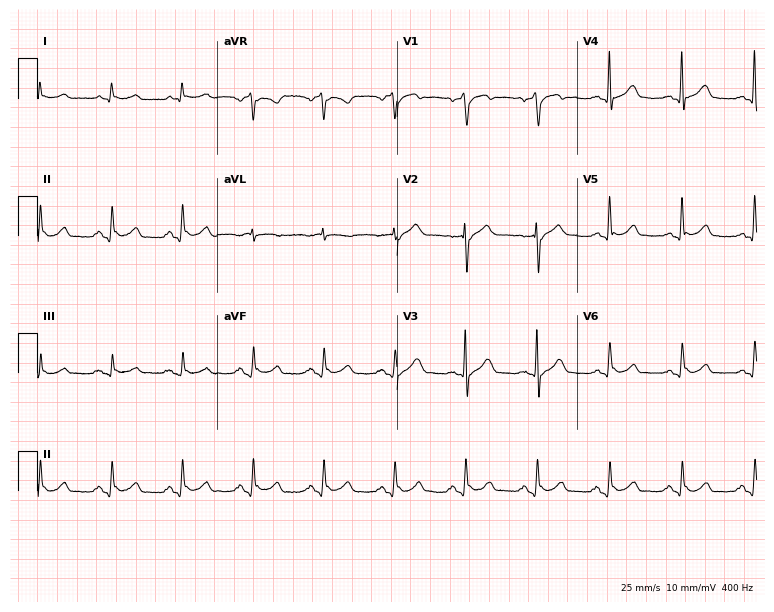
12-lead ECG from a male, 66 years old (7.3-second recording at 400 Hz). Recorded interpretation: within normal limits.